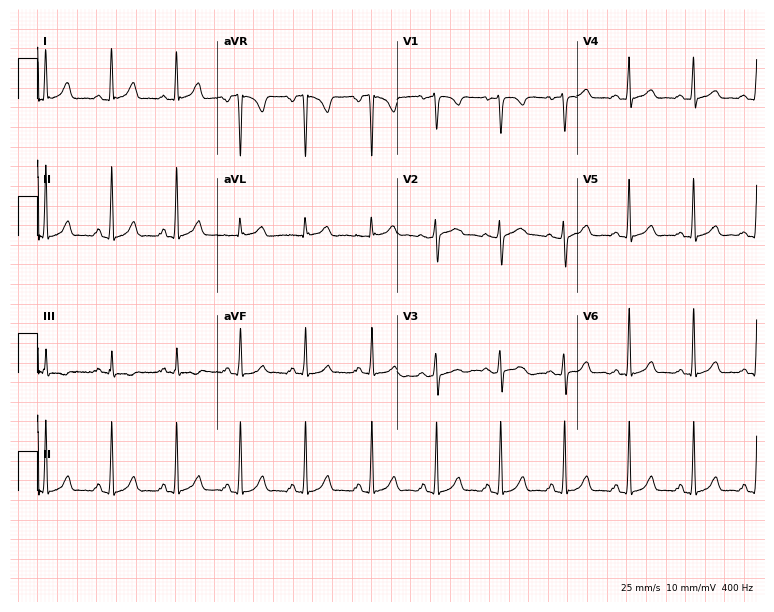
Electrocardiogram, a woman, 40 years old. Overall reading on record: normal ECG.